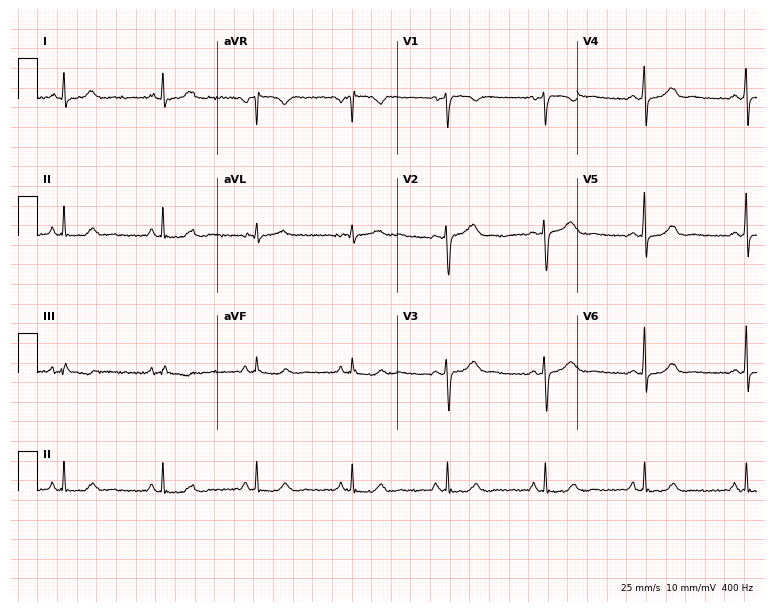
ECG — a 29-year-old female. Screened for six findings — first-degree AV block, right bundle branch block, left bundle branch block, sinus bradycardia, atrial fibrillation, sinus tachycardia — none is recorded. Other findings, if any, are not listed.